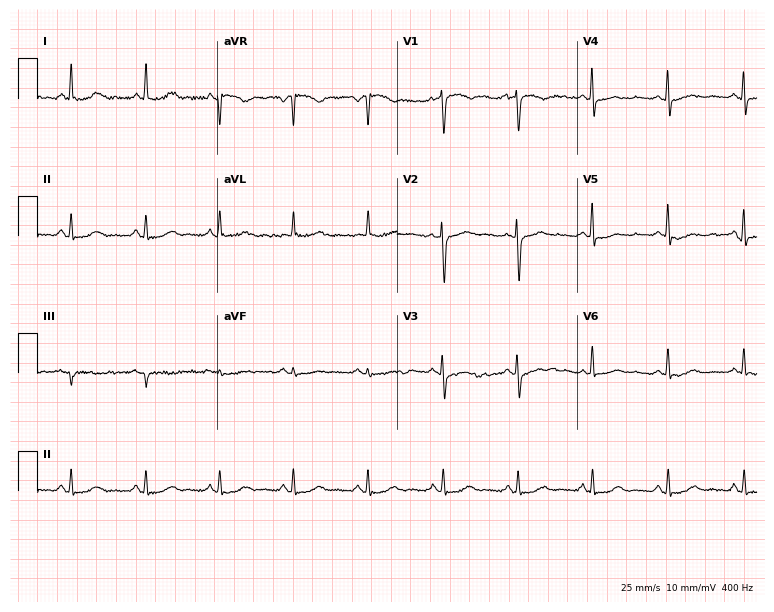
Standard 12-lead ECG recorded from a female, 60 years old. None of these six findings is recorded: first-degree AV block, right bundle branch block (RBBB), left bundle branch block (LBBB), sinus bradycardia, atrial fibrillation (AF), sinus tachycardia. Only these six findings were labelled.